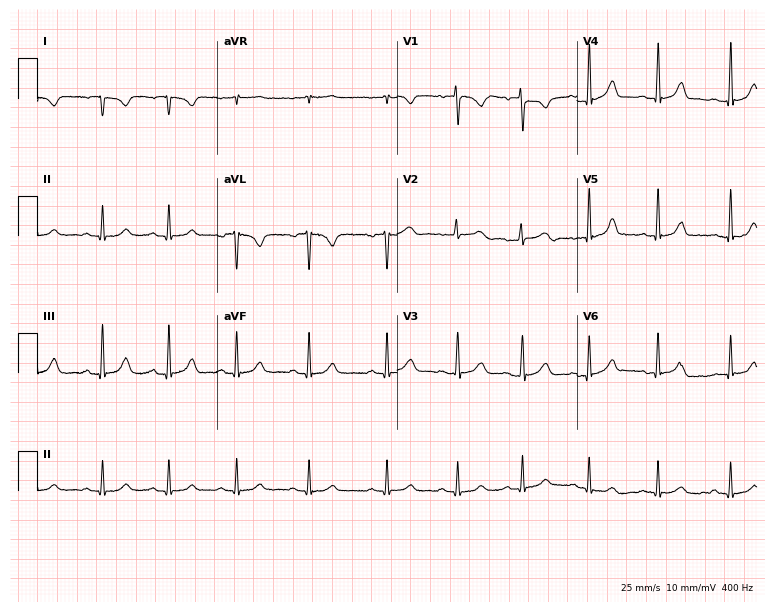
Resting 12-lead electrocardiogram. Patient: a female, 27 years old. None of these six findings is recorded: first-degree AV block, right bundle branch block, left bundle branch block, sinus bradycardia, atrial fibrillation, sinus tachycardia. Other findings, if any, are not listed.